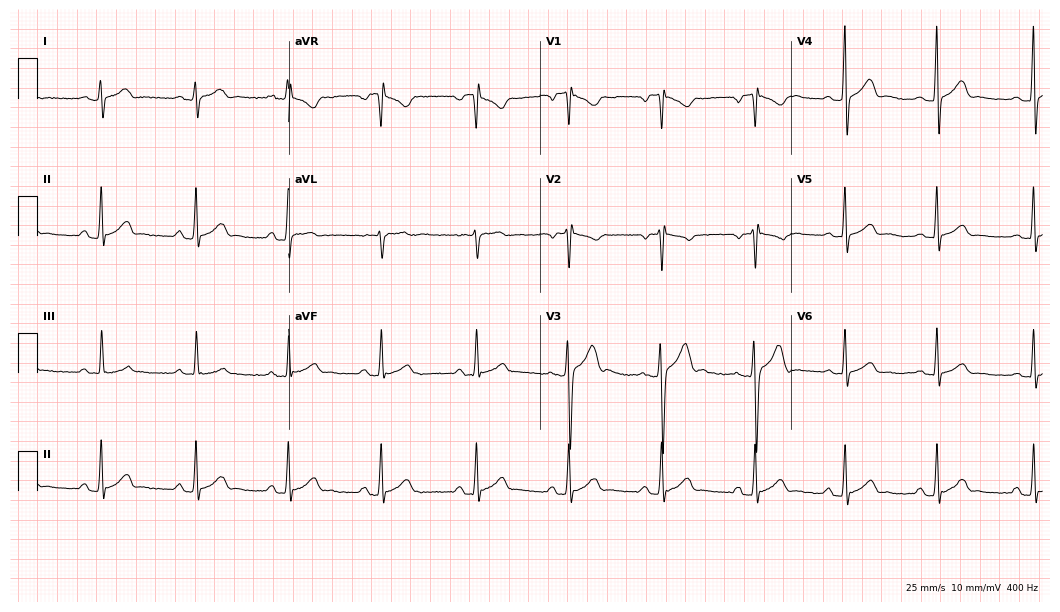
12-lead ECG from a 22-year-old male patient. Recorded interpretation: within normal limits.